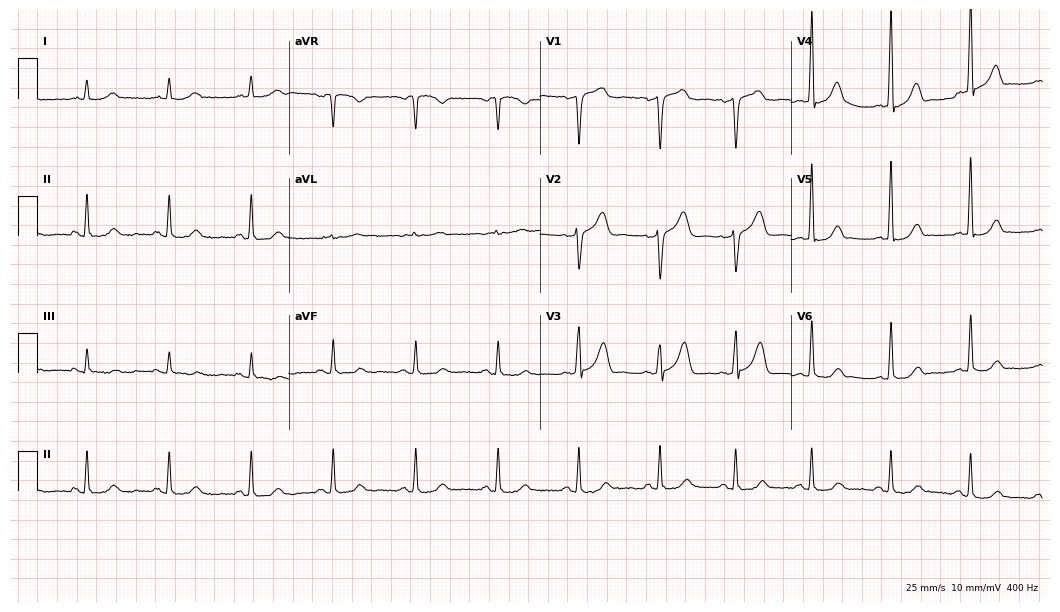
12-lead ECG from a 77-year-old man. Labelled as a normal ECG.